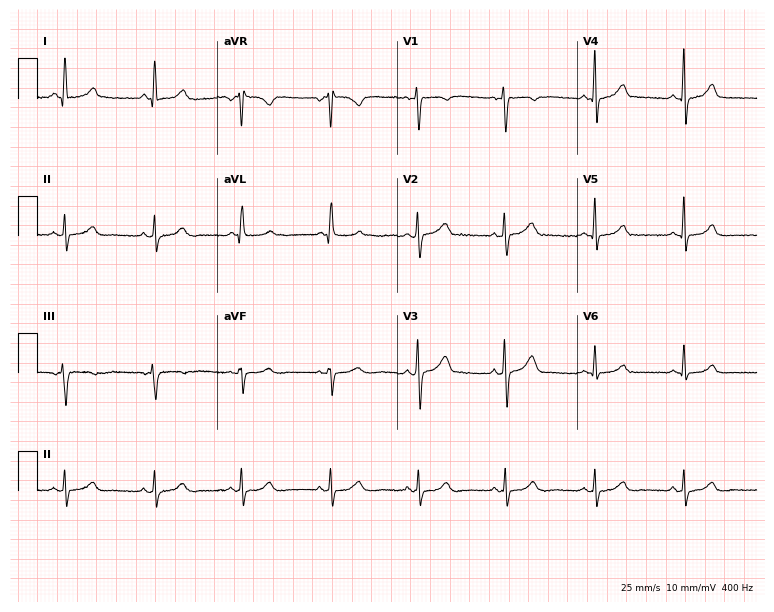
12-lead ECG from a female, 43 years old. Labelled as a normal ECG.